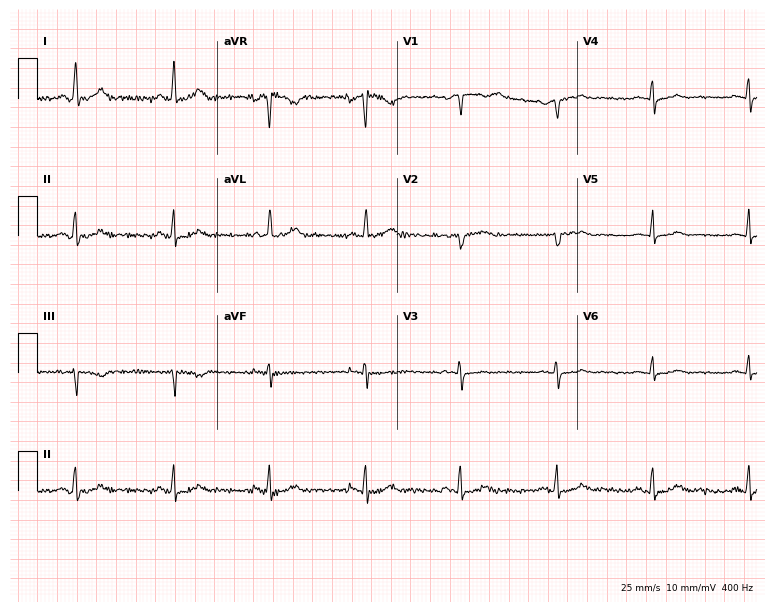
Standard 12-lead ECG recorded from a female patient, 64 years old (7.3-second recording at 400 Hz). Read as a normal ECG.